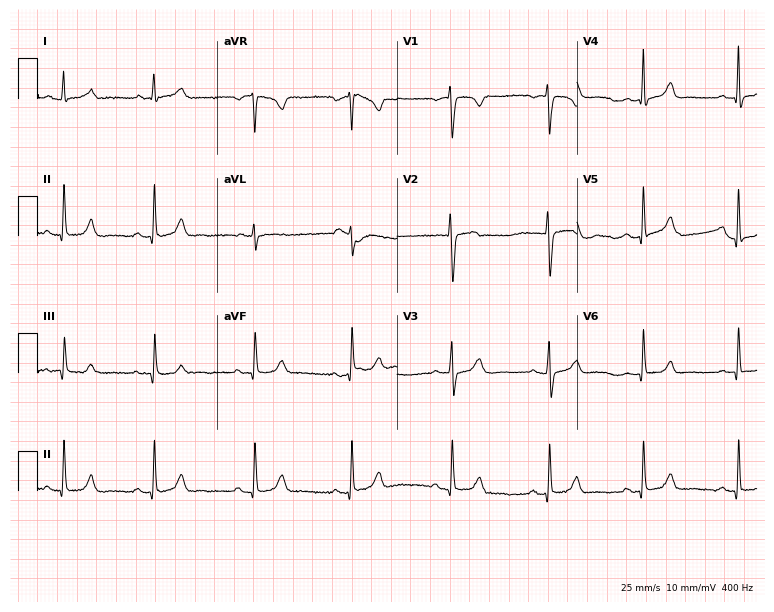
12-lead ECG from a 28-year-old woman. Labelled as a normal ECG.